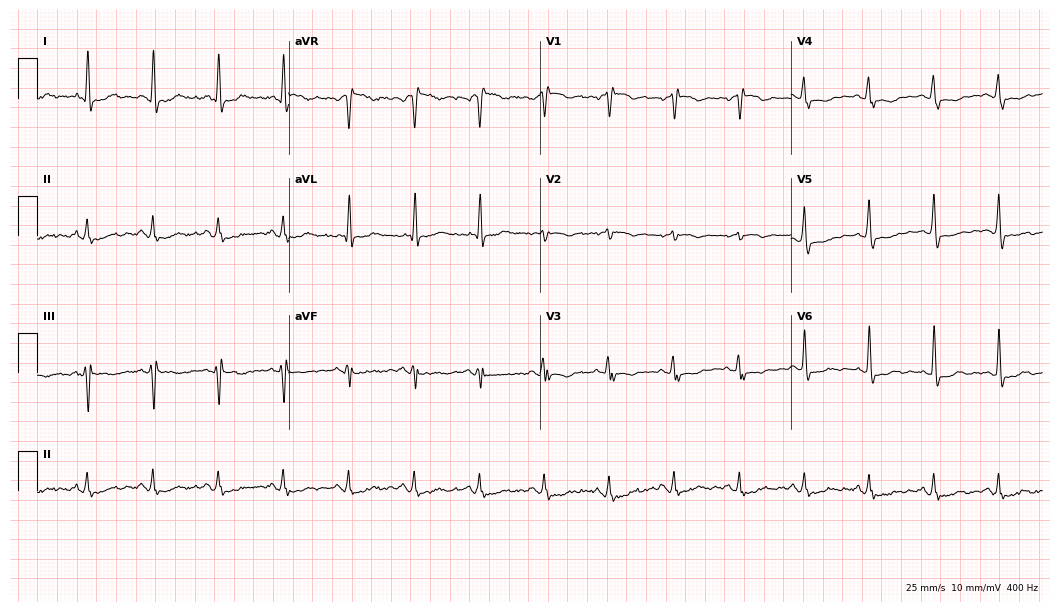
Resting 12-lead electrocardiogram (10.2-second recording at 400 Hz). Patient: a 66-year-old female. None of these six findings is recorded: first-degree AV block, right bundle branch block, left bundle branch block, sinus bradycardia, atrial fibrillation, sinus tachycardia.